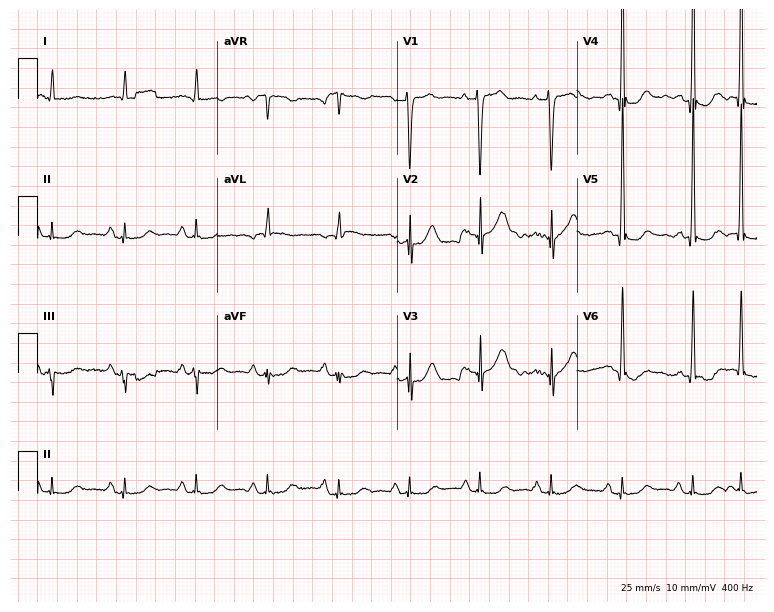
ECG — an 80-year-old male. Screened for six findings — first-degree AV block, right bundle branch block, left bundle branch block, sinus bradycardia, atrial fibrillation, sinus tachycardia — none is recorded. Only these six findings were labelled.